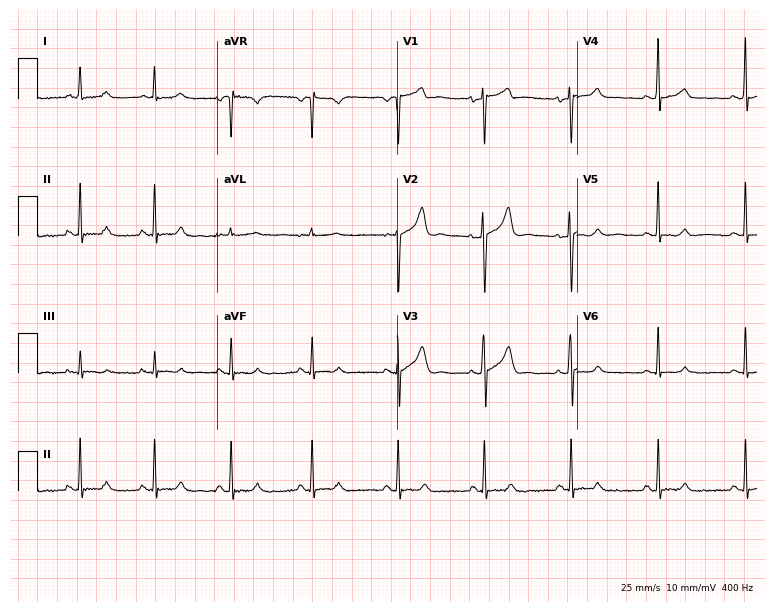
Standard 12-lead ECG recorded from a male, 29 years old. None of these six findings is recorded: first-degree AV block, right bundle branch block, left bundle branch block, sinus bradycardia, atrial fibrillation, sinus tachycardia.